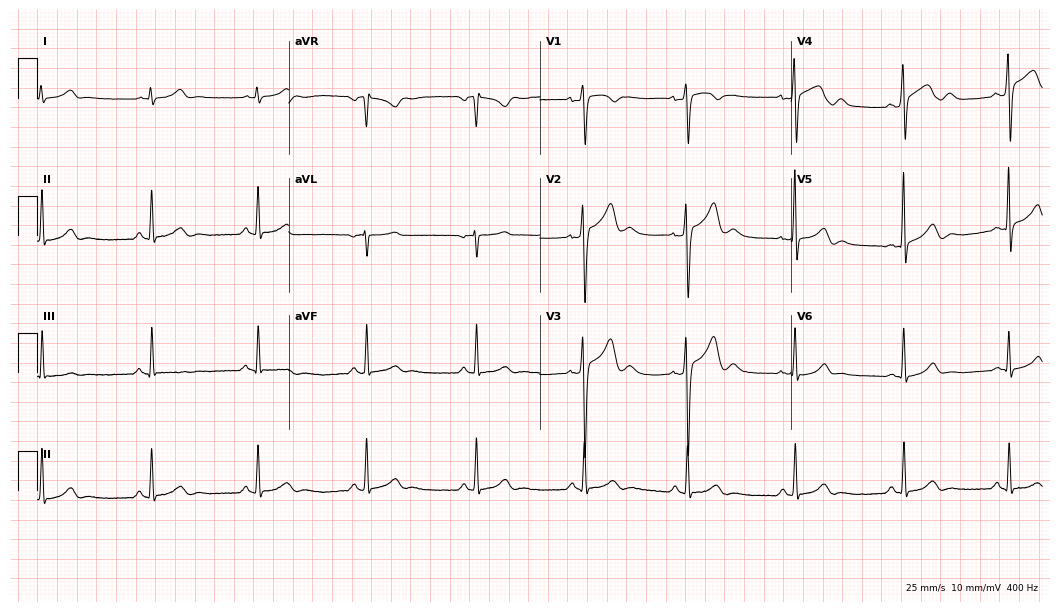
12-lead ECG (10.2-second recording at 400 Hz) from a male patient, 38 years old. Labelled as a normal ECG.